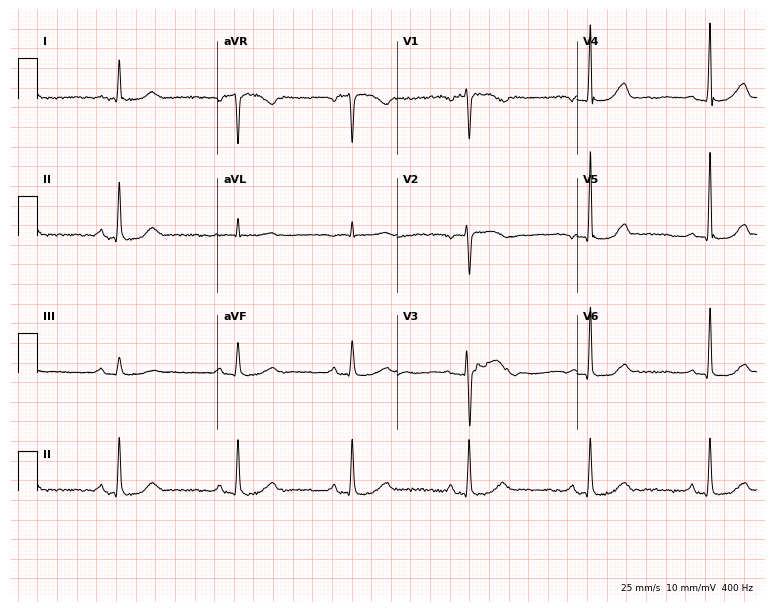
12-lead ECG from a 55-year-old female. Recorded interpretation: within normal limits.